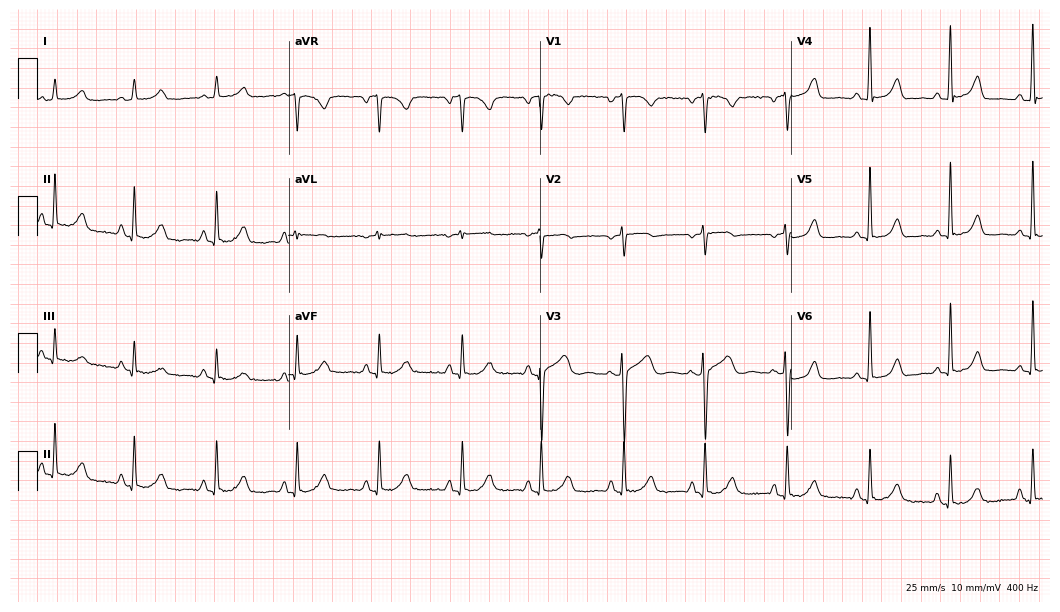
Electrocardiogram (10.2-second recording at 400 Hz), a female patient, 57 years old. Overall reading on record: normal ECG.